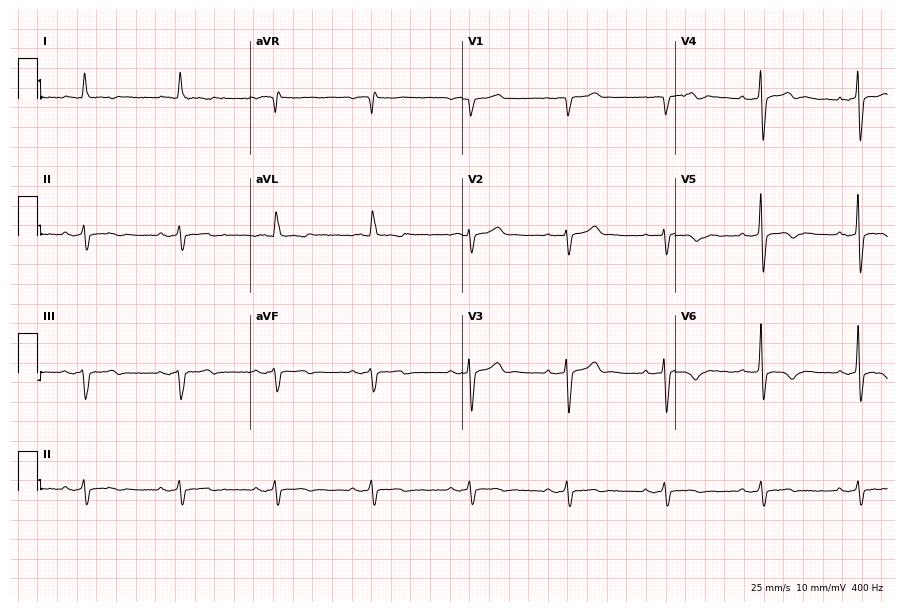
Standard 12-lead ECG recorded from an 83-year-old male. None of these six findings is recorded: first-degree AV block, right bundle branch block (RBBB), left bundle branch block (LBBB), sinus bradycardia, atrial fibrillation (AF), sinus tachycardia. Only these six findings were labelled.